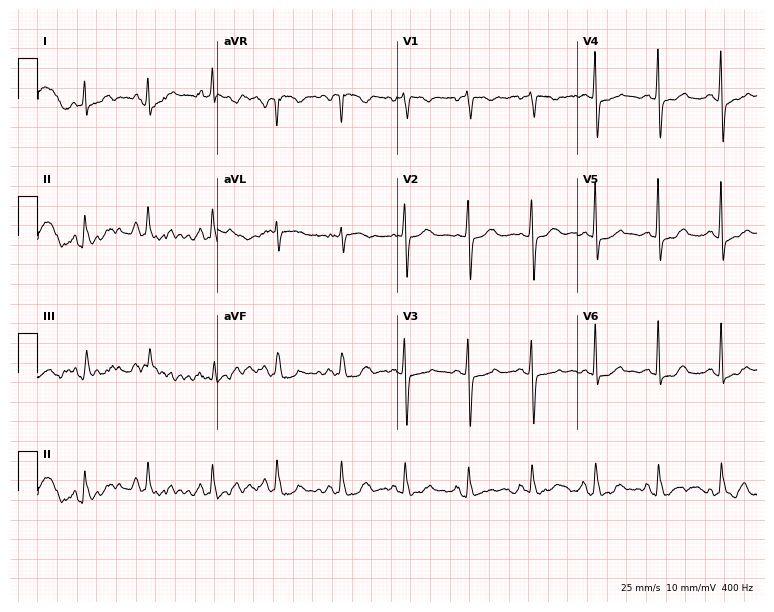
Resting 12-lead electrocardiogram (7.3-second recording at 400 Hz). Patient: a woman, 72 years old. None of these six findings is recorded: first-degree AV block, right bundle branch block, left bundle branch block, sinus bradycardia, atrial fibrillation, sinus tachycardia.